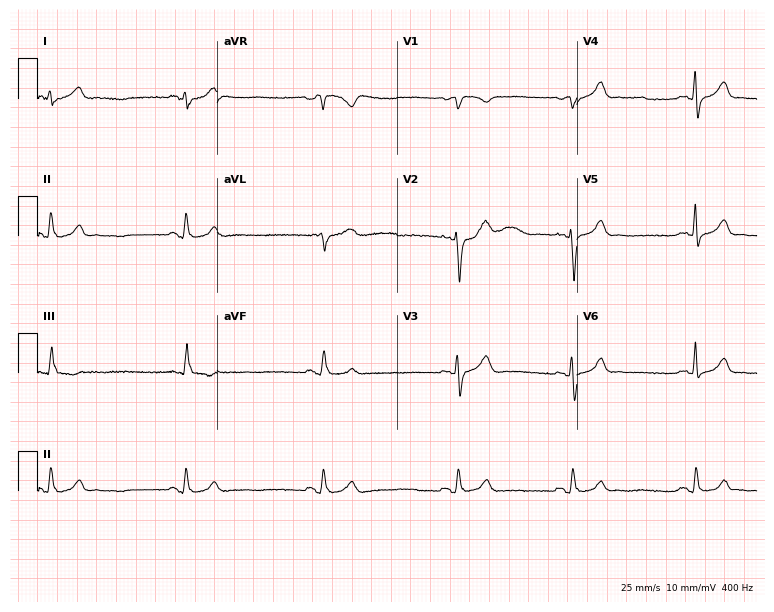
12-lead ECG (7.3-second recording at 400 Hz) from a male, 52 years old. Findings include sinus bradycardia (a sinus rate of 50 beats per minute or less).